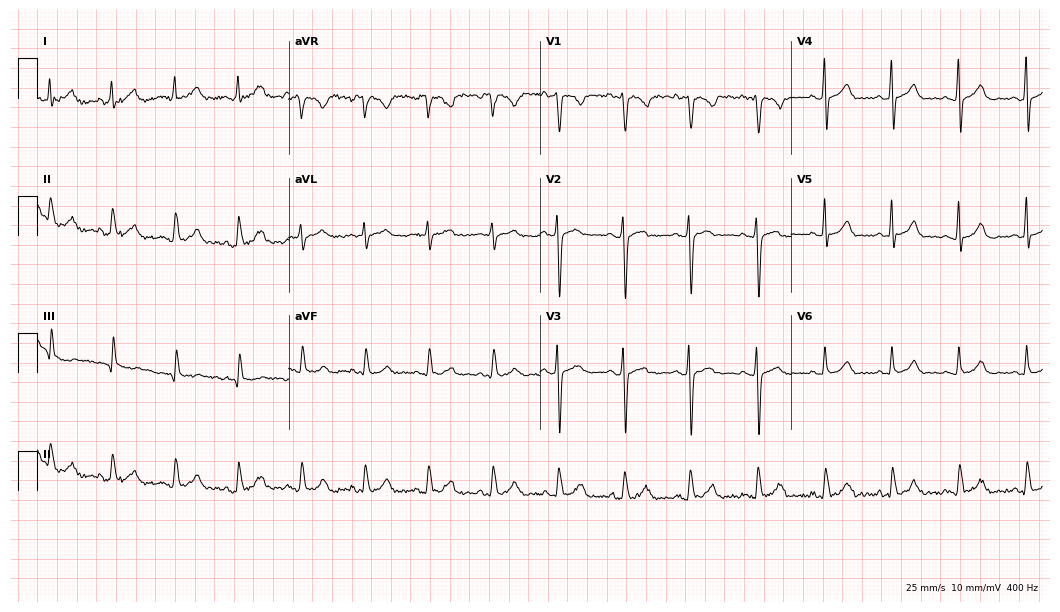
Standard 12-lead ECG recorded from a 28-year-old female patient (10.2-second recording at 400 Hz). Read as a normal ECG.